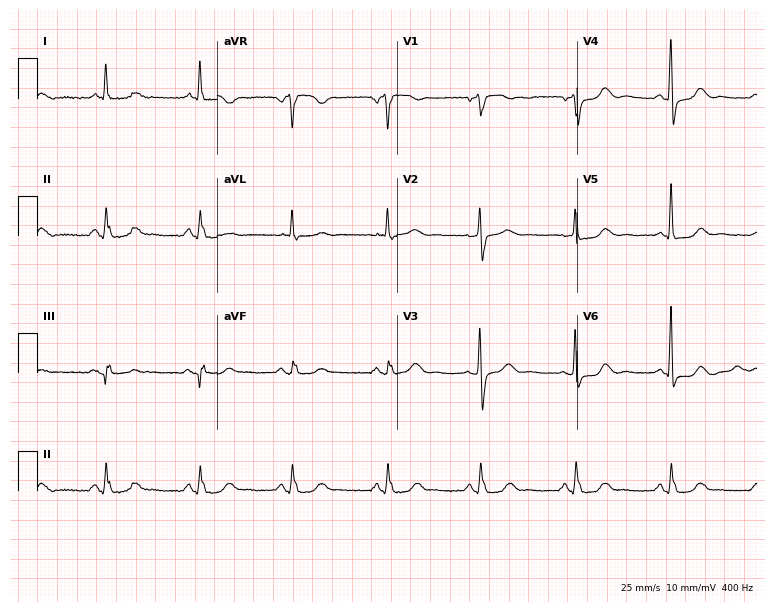
12-lead ECG (7.3-second recording at 400 Hz) from a 66-year-old woman. Screened for six findings — first-degree AV block, right bundle branch block, left bundle branch block, sinus bradycardia, atrial fibrillation, sinus tachycardia — none is recorded. Findings outside these six are not listed.